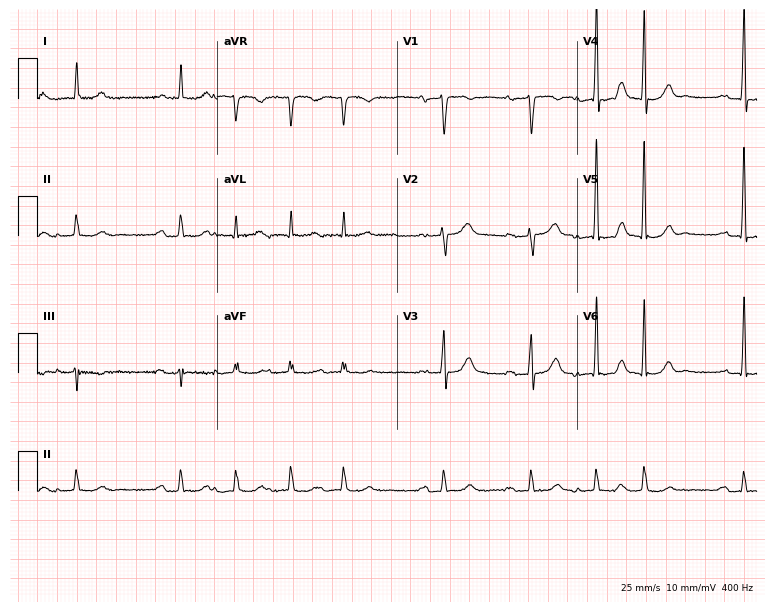
12-lead ECG from a male patient, 82 years old (7.3-second recording at 400 Hz). No first-degree AV block, right bundle branch block (RBBB), left bundle branch block (LBBB), sinus bradycardia, atrial fibrillation (AF) or sinus tachycardia recorded for this tracing.